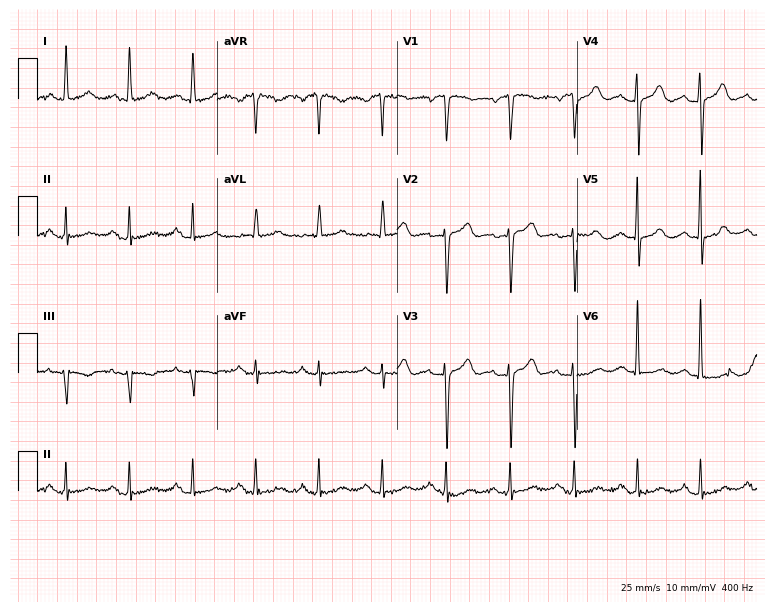
ECG — an 81-year-old woman. Labelled as a normal ECG.